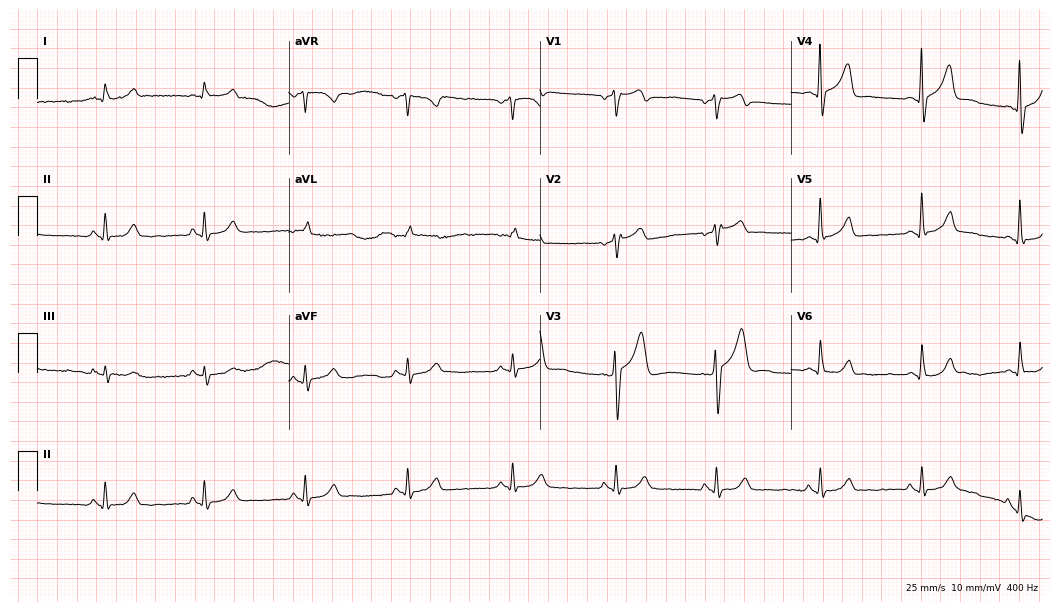
Electrocardiogram, a 48-year-old male patient. Overall reading on record: normal ECG.